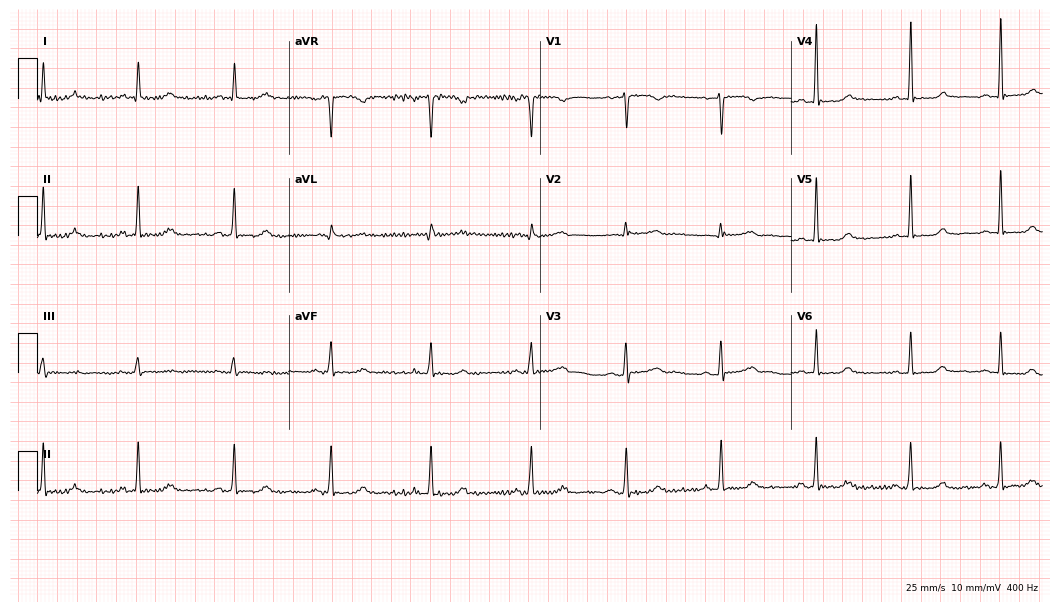
ECG — a 42-year-old female. Screened for six findings — first-degree AV block, right bundle branch block (RBBB), left bundle branch block (LBBB), sinus bradycardia, atrial fibrillation (AF), sinus tachycardia — none is recorded.